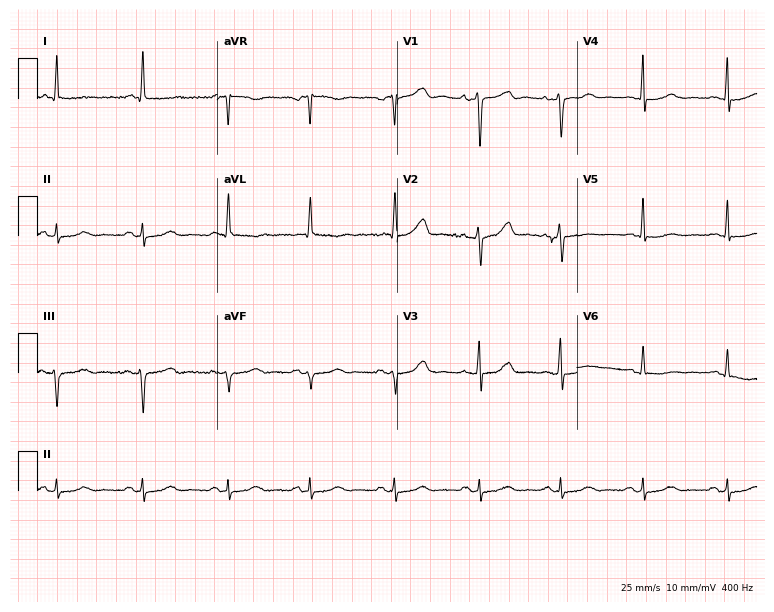
Standard 12-lead ECG recorded from a woman, 76 years old (7.3-second recording at 400 Hz). None of these six findings is recorded: first-degree AV block, right bundle branch block, left bundle branch block, sinus bradycardia, atrial fibrillation, sinus tachycardia.